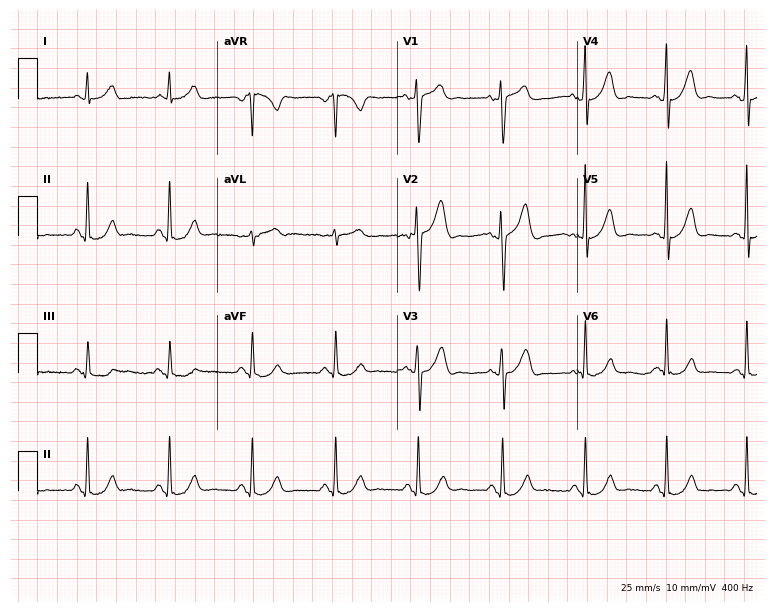
Resting 12-lead electrocardiogram. Patient: a male, 63 years old. Read as a normal ECG.